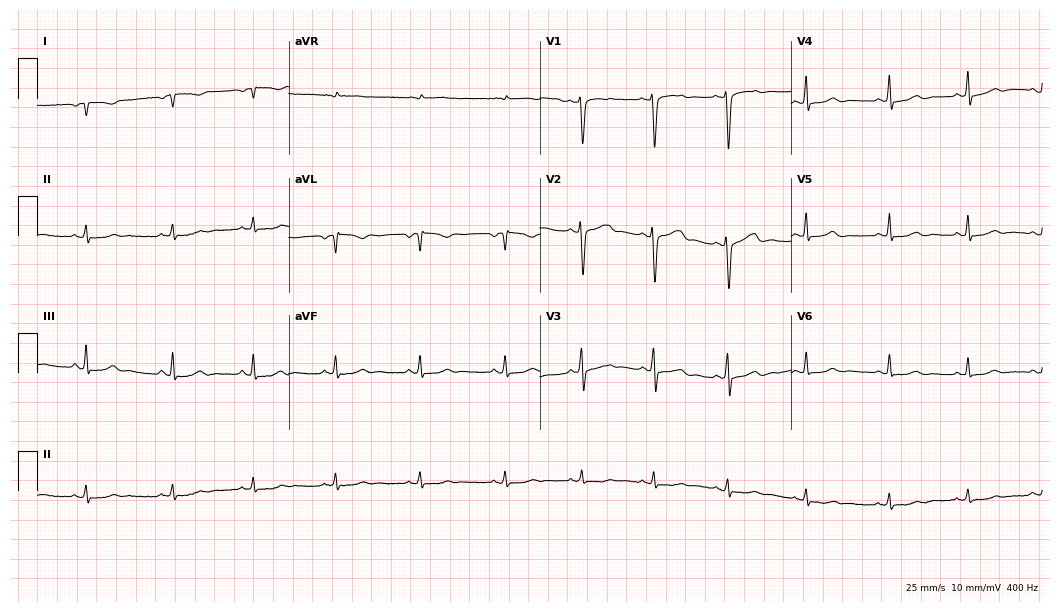
ECG (10.2-second recording at 400 Hz) — a woman, 37 years old. Screened for six findings — first-degree AV block, right bundle branch block (RBBB), left bundle branch block (LBBB), sinus bradycardia, atrial fibrillation (AF), sinus tachycardia — none is recorded. Findings outside these six are not listed.